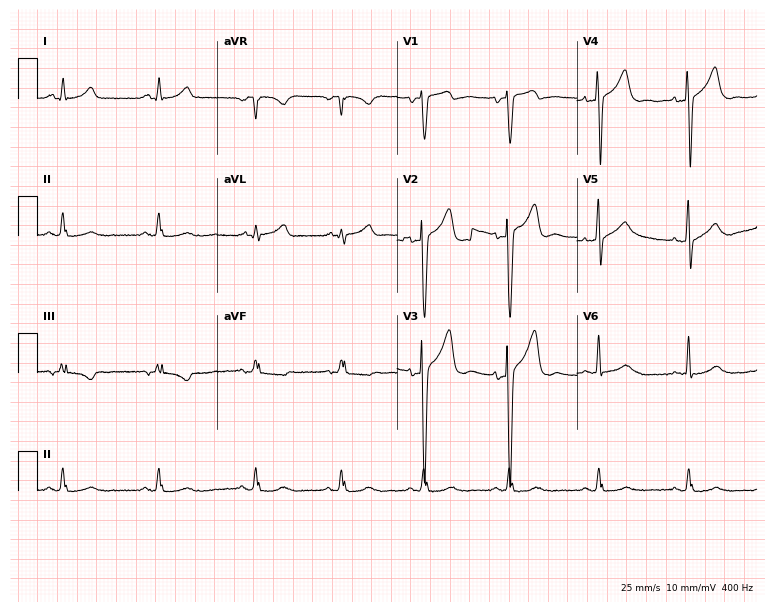
Electrocardiogram (7.3-second recording at 400 Hz), a male patient, 36 years old. Of the six screened findings (first-degree AV block, right bundle branch block (RBBB), left bundle branch block (LBBB), sinus bradycardia, atrial fibrillation (AF), sinus tachycardia), none is recorded. Findings outside these six are not listed.